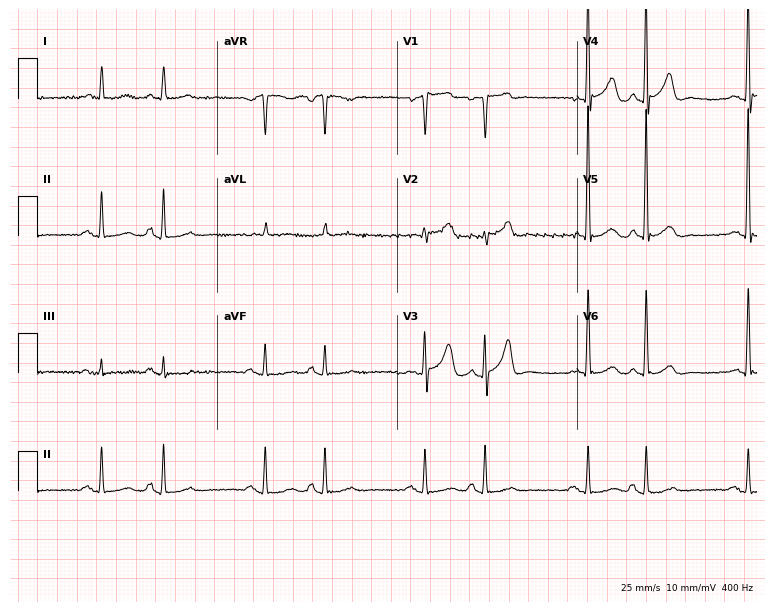
Electrocardiogram (7.3-second recording at 400 Hz), a man, 76 years old. Of the six screened findings (first-degree AV block, right bundle branch block (RBBB), left bundle branch block (LBBB), sinus bradycardia, atrial fibrillation (AF), sinus tachycardia), none is recorded. Only these six findings were labelled.